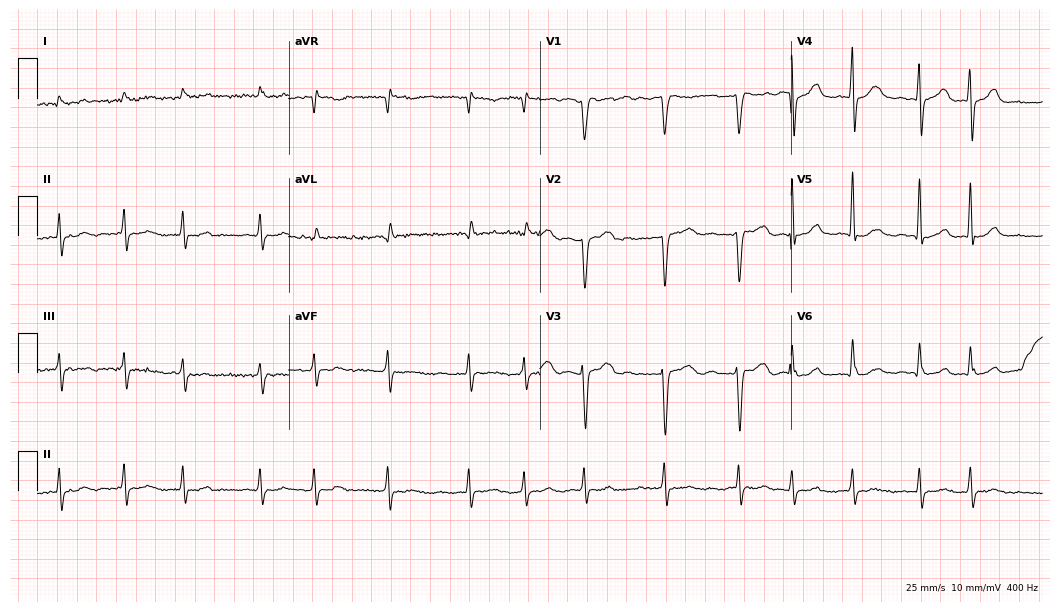
12-lead ECG from a 69-year-old male (10.2-second recording at 400 Hz). Shows atrial fibrillation (AF).